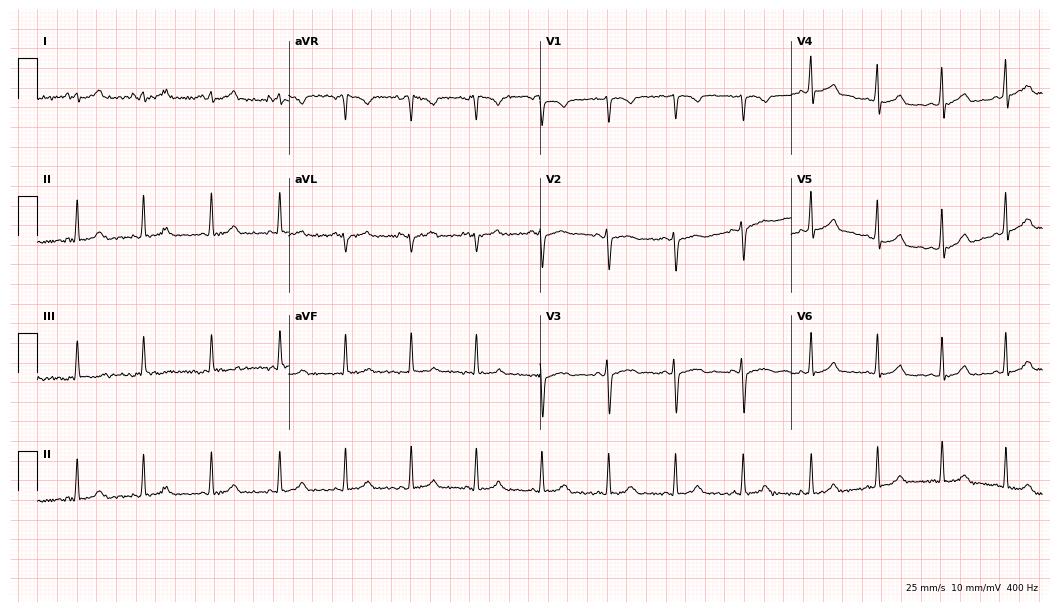
ECG — a 22-year-old female patient. Labelled as a normal ECG.